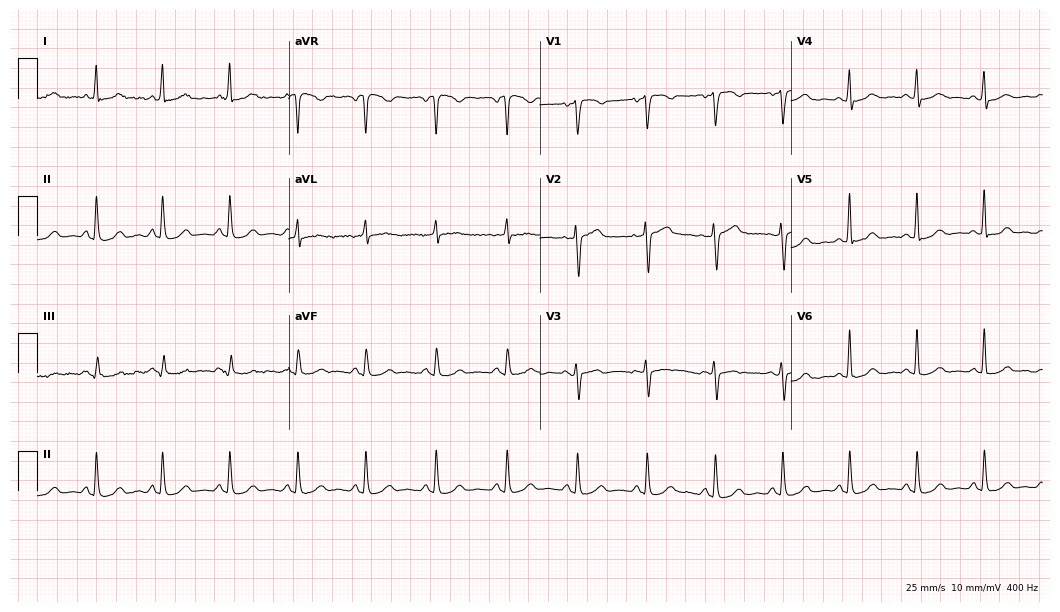
12-lead ECG (10.2-second recording at 400 Hz) from a female patient, 55 years old. Labelled as a normal ECG.